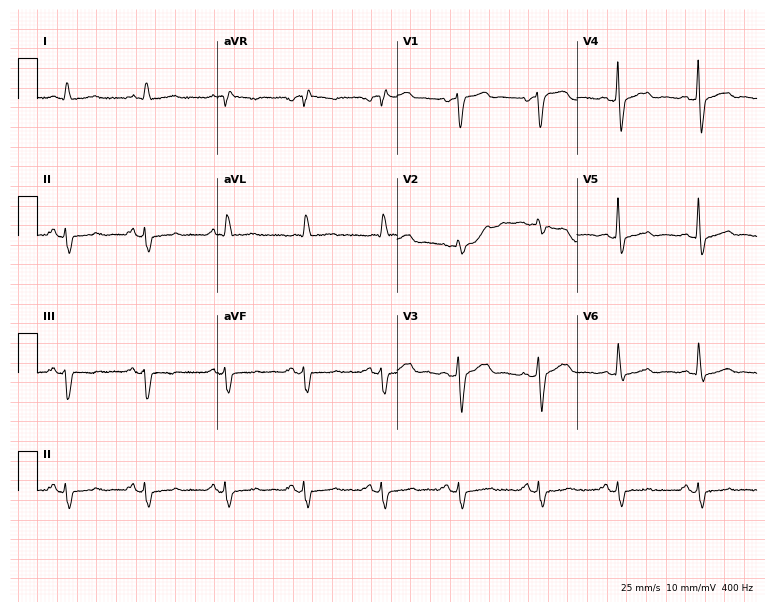
12-lead ECG from a male patient, 75 years old (7.3-second recording at 400 Hz). Recorded interpretation: within normal limits.